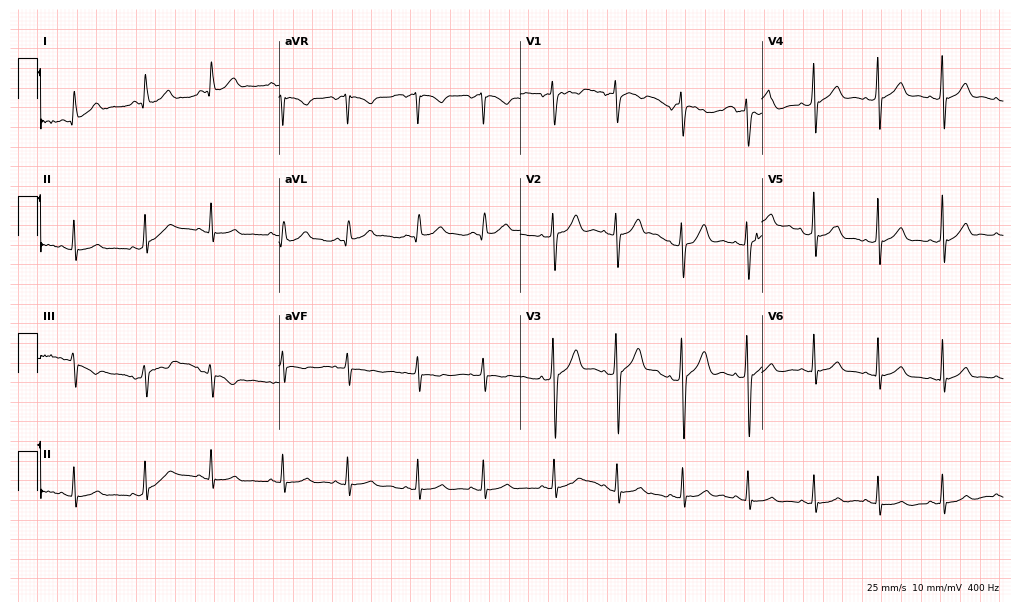
Resting 12-lead electrocardiogram. Patient: a male, 51 years old. Read as a normal ECG.